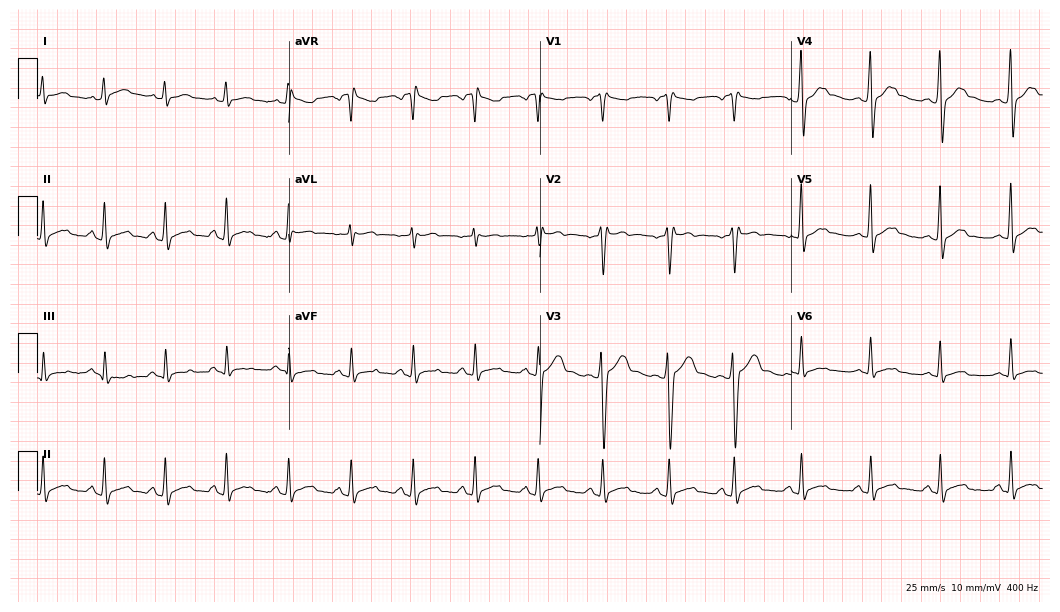
ECG — a male patient, 19 years old. Labelled as a normal ECG.